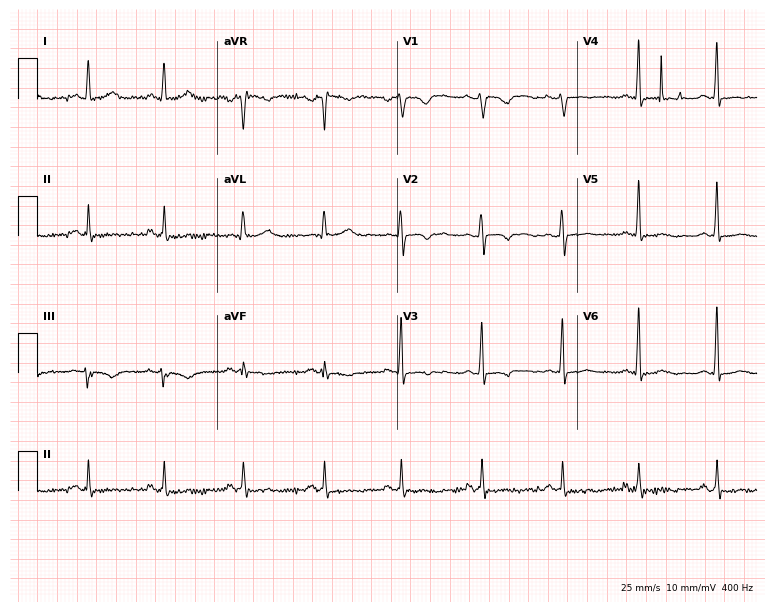
12-lead ECG (7.3-second recording at 400 Hz) from a 26-year-old woman. Screened for six findings — first-degree AV block, right bundle branch block, left bundle branch block, sinus bradycardia, atrial fibrillation, sinus tachycardia — none is recorded. Other findings, if any, are not listed.